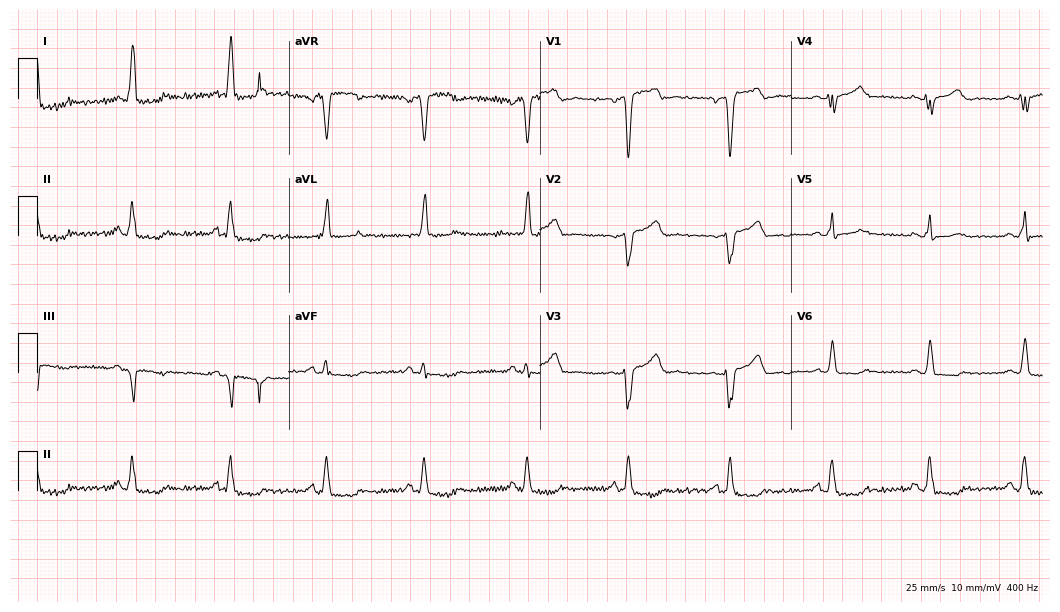
Resting 12-lead electrocardiogram. Patient: a 50-year-old female. None of these six findings is recorded: first-degree AV block, right bundle branch block, left bundle branch block, sinus bradycardia, atrial fibrillation, sinus tachycardia. Findings outside these six are not listed.